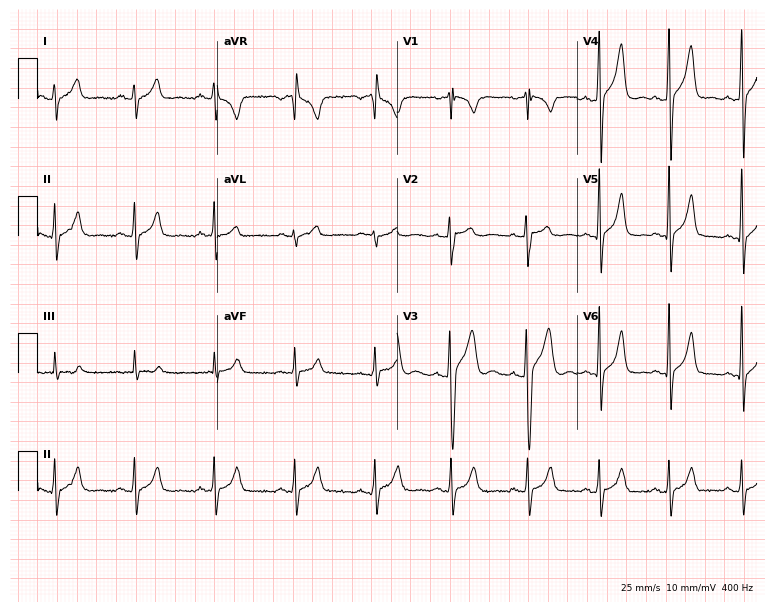
12-lead ECG from a 17-year-old man. Labelled as a normal ECG.